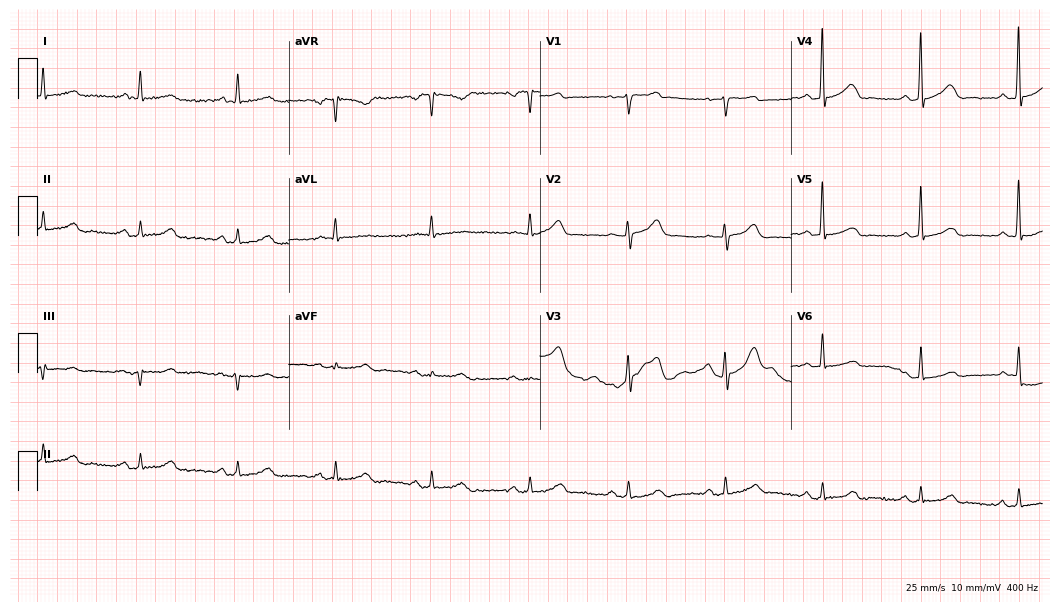
ECG (10.2-second recording at 400 Hz) — a 70-year-old male patient. Labelled as a normal ECG.